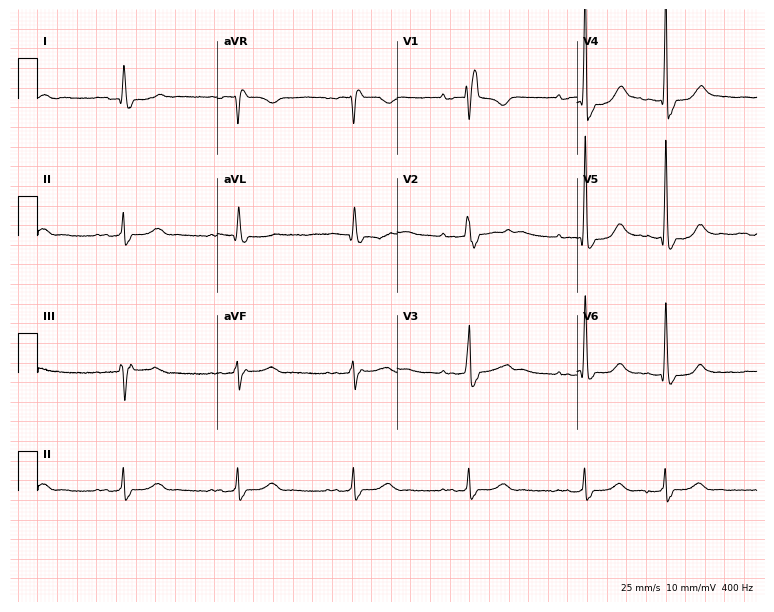
ECG (7.3-second recording at 400 Hz) — a man, 73 years old. Findings include right bundle branch block (RBBB).